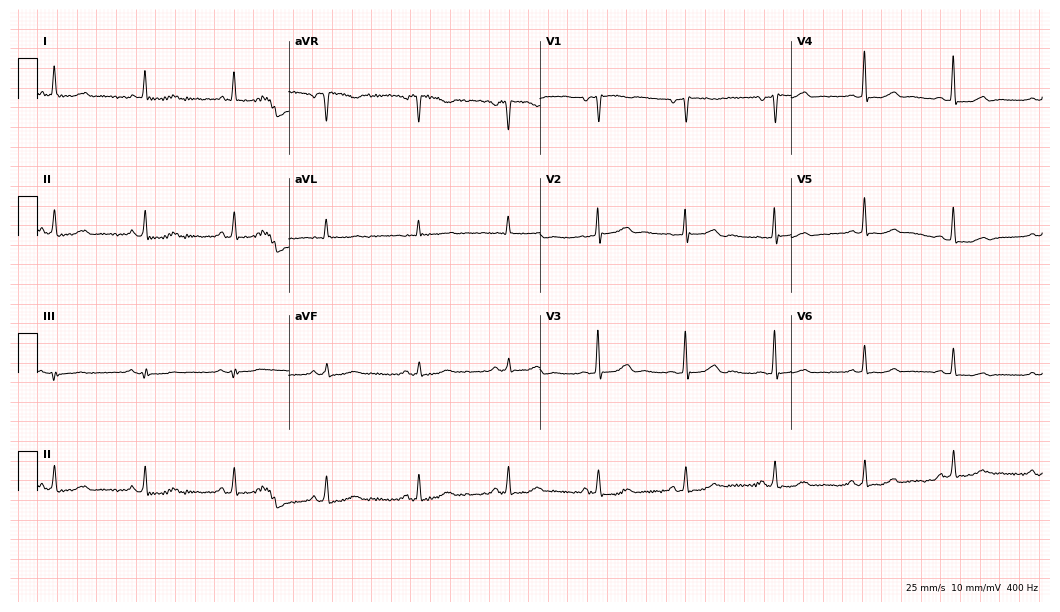
12-lead ECG from a 51-year-old woman. No first-degree AV block, right bundle branch block (RBBB), left bundle branch block (LBBB), sinus bradycardia, atrial fibrillation (AF) or sinus tachycardia recorded for this tracing.